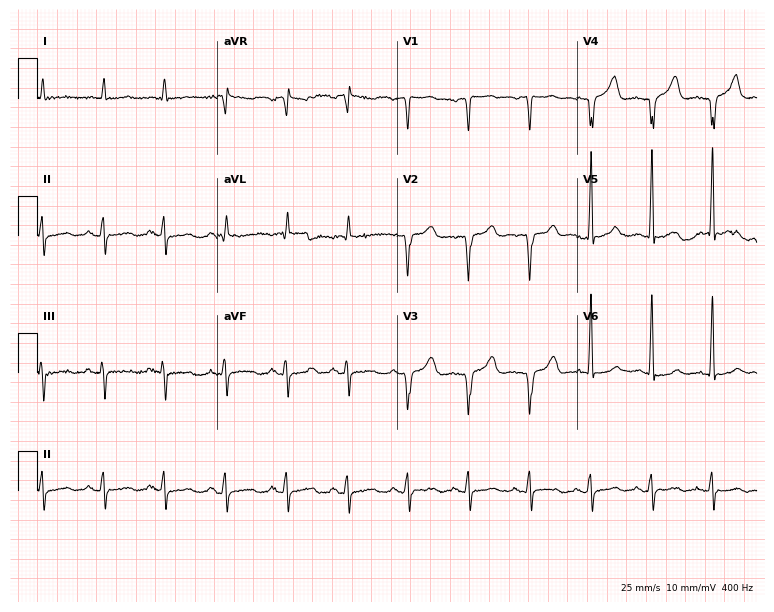
12-lead ECG from a male, 79 years old. Screened for six findings — first-degree AV block, right bundle branch block, left bundle branch block, sinus bradycardia, atrial fibrillation, sinus tachycardia — none is recorded. Other findings, if any, are not listed.